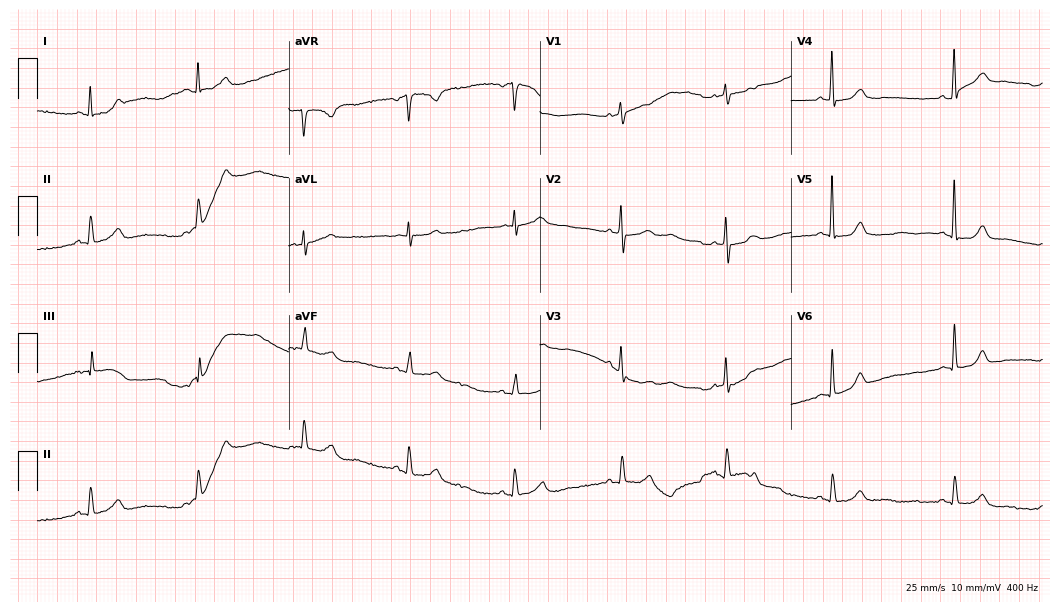
12-lead ECG (10.2-second recording at 400 Hz) from a 74-year-old female. Labelled as a normal ECG.